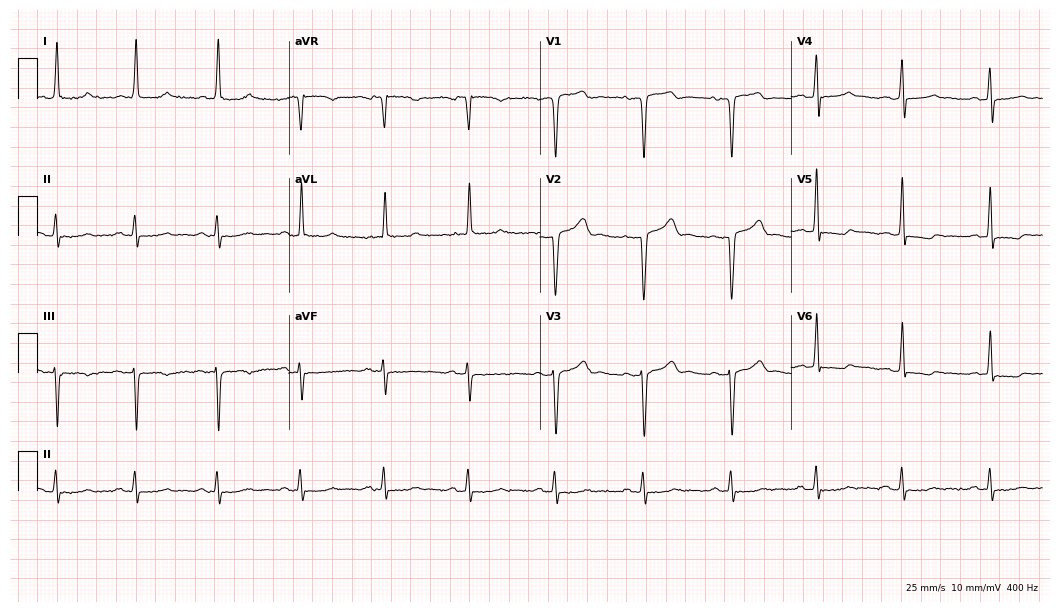
Standard 12-lead ECG recorded from a 74-year-old male patient (10.2-second recording at 400 Hz). None of these six findings is recorded: first-degree AV block, right bundle branch block, left bundle branch block, sinus bradycardia, atrial fibrillation, sinus tachycardia.